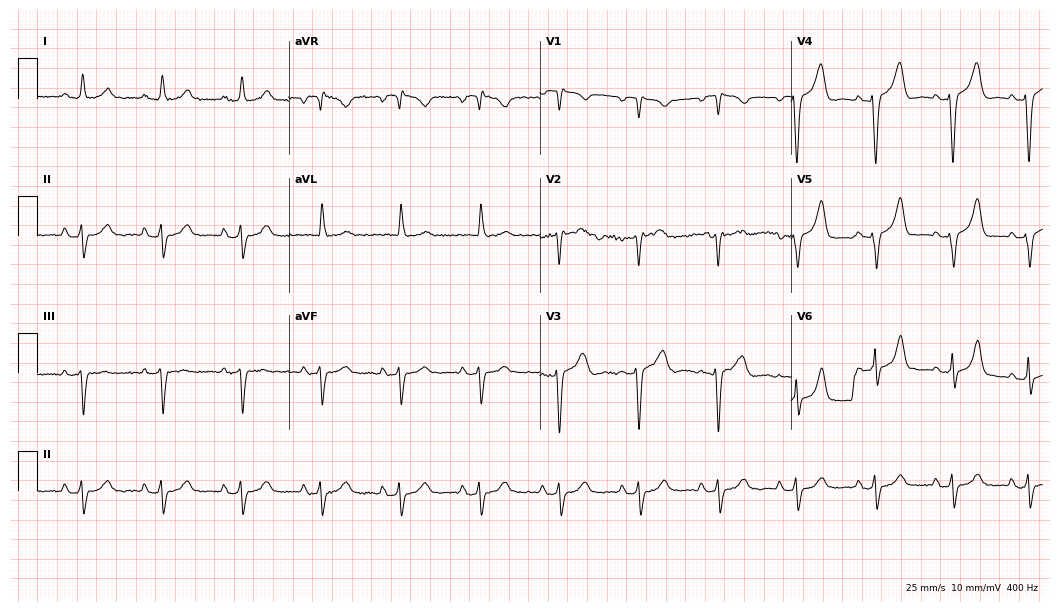
Resting 12-lead electrocardiogram. Patient: a woman, 85 years old. None of these six findings is recorded: first-degree AV block, right bundle branch block, left bundle branch block, sinus bradycardia, atrial fibrillation, sinus tachycardia. Other findings, if any, are not listed.